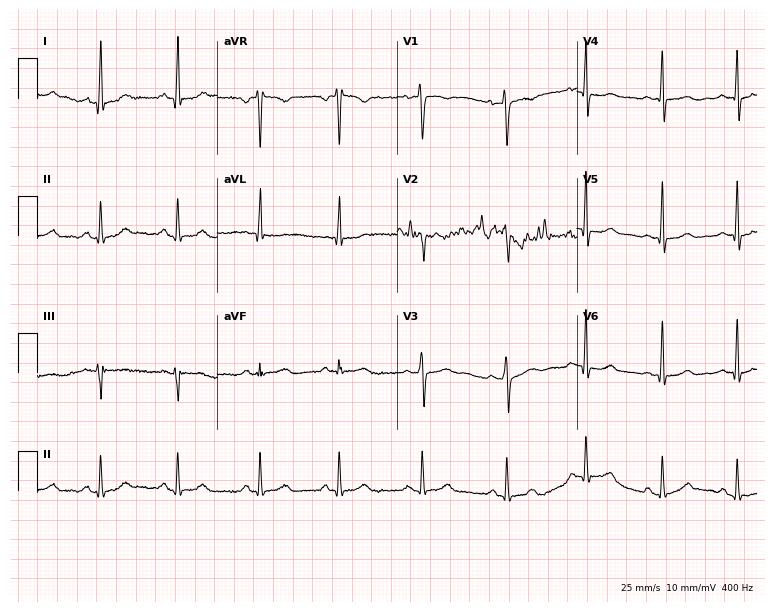
12-lead ECG (7.3-second recording at 400 Hz) from a woman, 31 years old. Screened for six findings — first-degree AV block, right bundle branch block, left bundle branch block, sinus bradycardia, atrial fibrillation, sinus tachycardia — none is recorded.